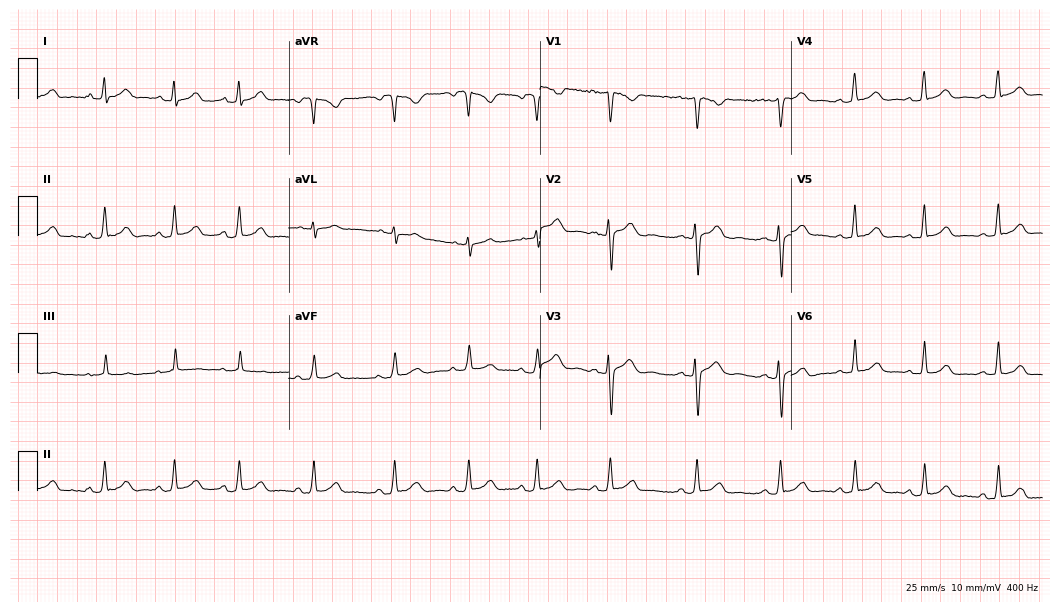
Standard 12-lead ECG recorded from an 18-year-old female. Read as a normal ECG.